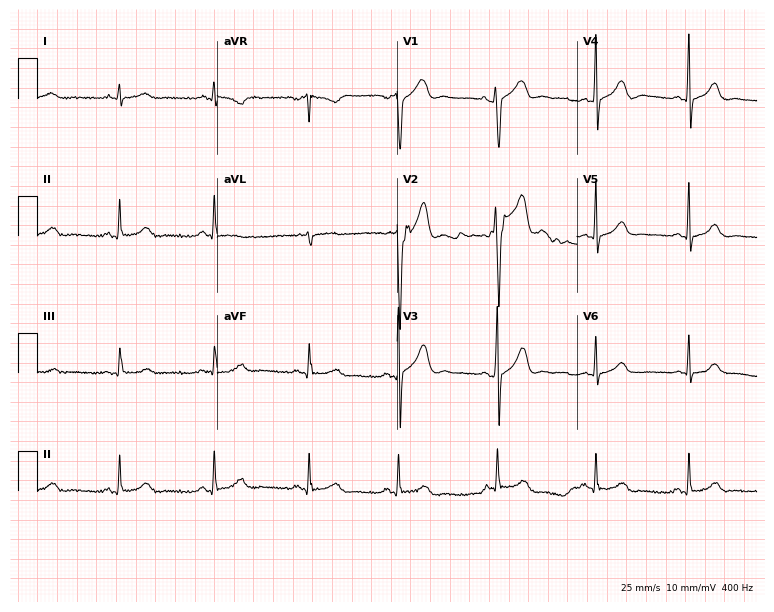
Resting 12-lead electrocardiogram (7.3-second recording at 400 Hz). Patient: a man, 21 years old. Read as a normal ECG.